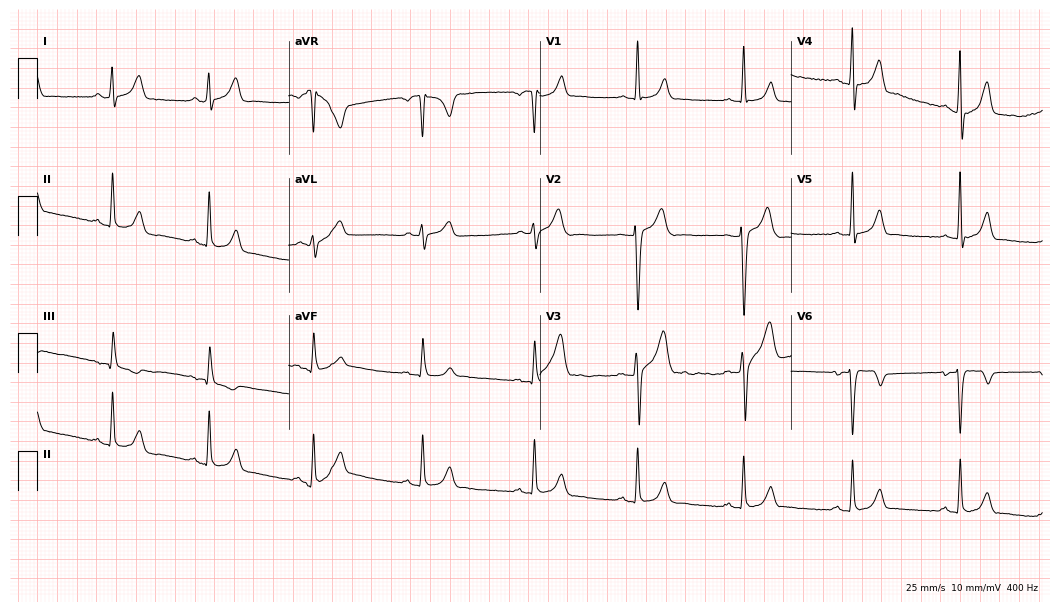
12-lead ECG from a 28-year-old male. Screened for six findings — first-degree AV block, right bundle branch block, left bundle branch block, sinus bradycardia, atrial fibrillation, sinus tachycardia — none is recorded. Only these six findings were labelled.